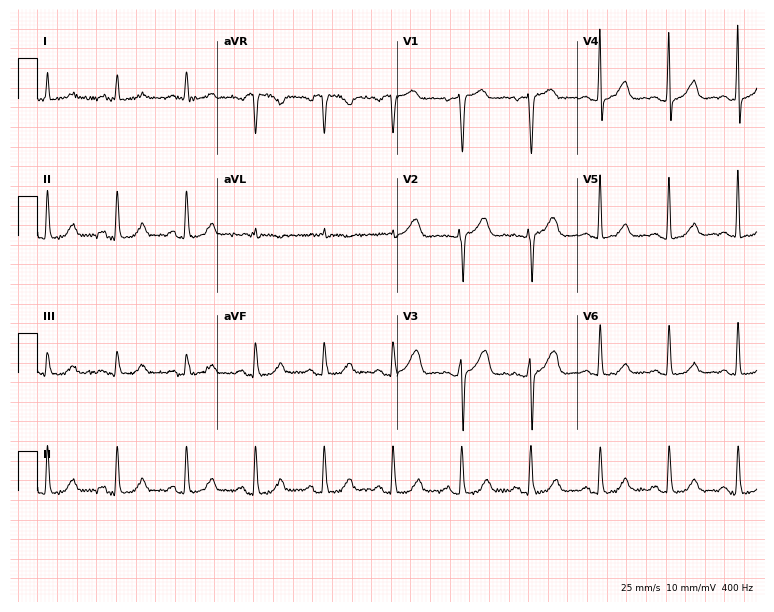
12-lead ECG (7.3-second recording at 400 Hz) from a 63-year-old female patient. Labelled as a normal ECG.